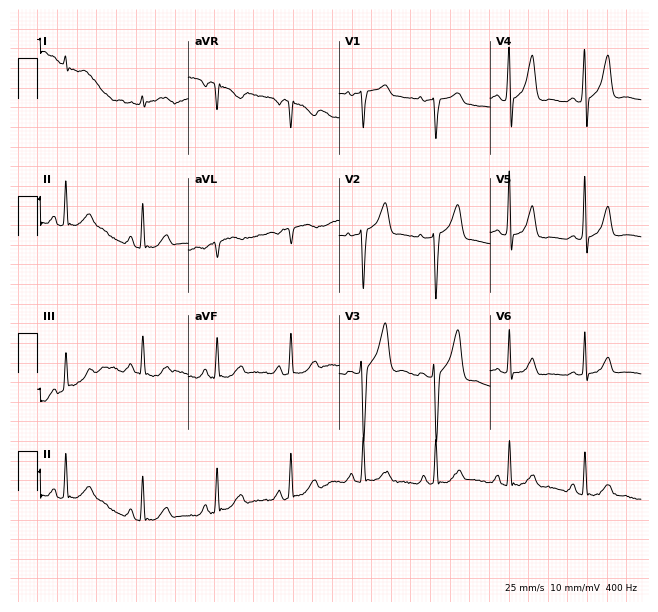
12-lead ECG (6.2-second recording at 400 Hz) from a 55-year-old female patient. Screened for six findings — first-degree AV block, right bundle branch block, left bundle branch block, sinus bradycardia, atrial fibrillation, sinus tachycardia — none is recorded. Findings outside these six are not listed.